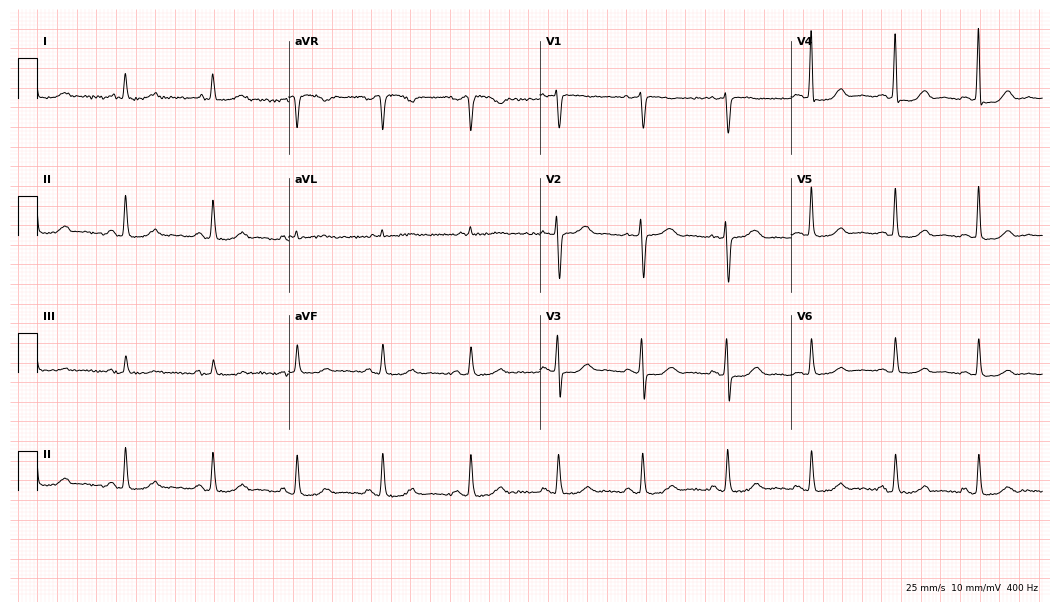
ECG (10.2-second recording at 400 Hz) — a 68-year-old female. Labelled as a normal ECG.